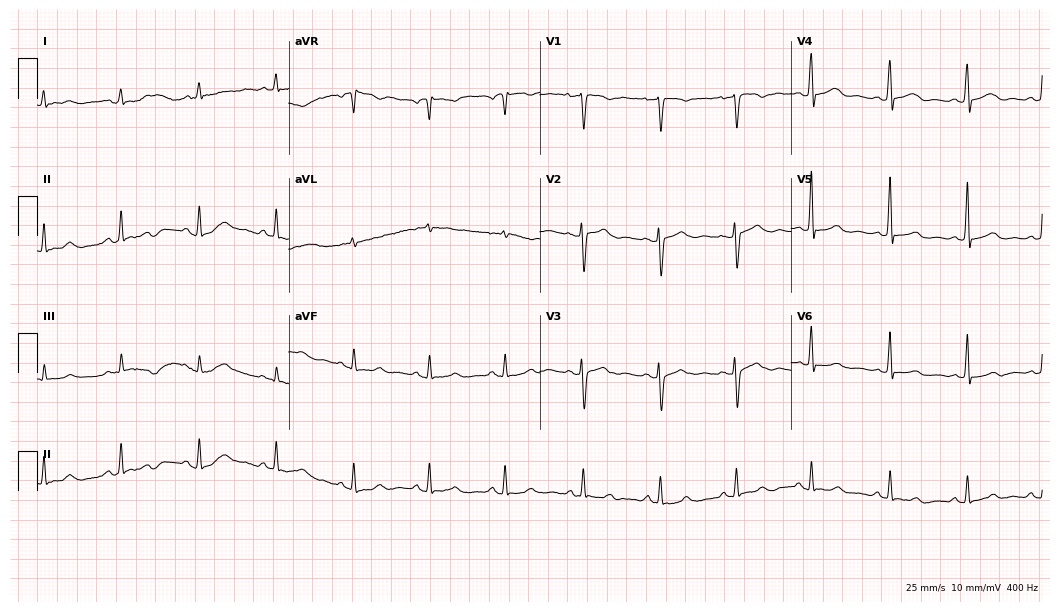
Standard 12-lead ECG recorded from a female patient, 47 years old (10.2-second recording at 400 Hz). None of these six findings is recorded: first-degree AV block, right bundle branch block, left bundle branch block, sinus bradycardia, atrial fibrillation, sinus tachycardia. Only these six findings were labelled.